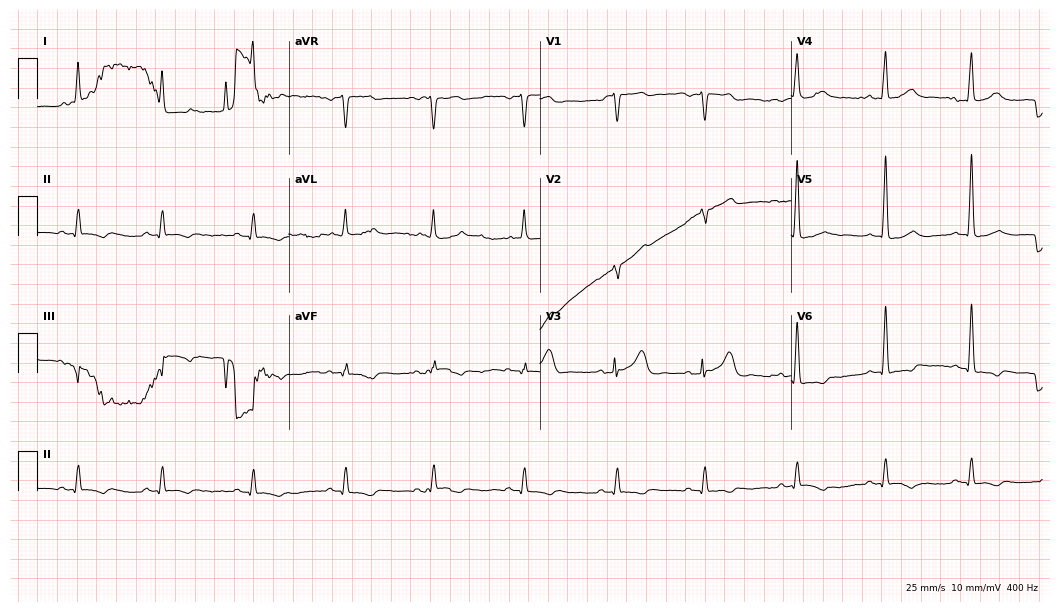
Resting 12-lead electrocardiogram. Patient: a 77-year-old man. None of these six findings is recorded: first-degree AV block, right bundle branch block, left bundle branch block, sinus bradycardia, atrial fibrillation, sinus tachycardia.